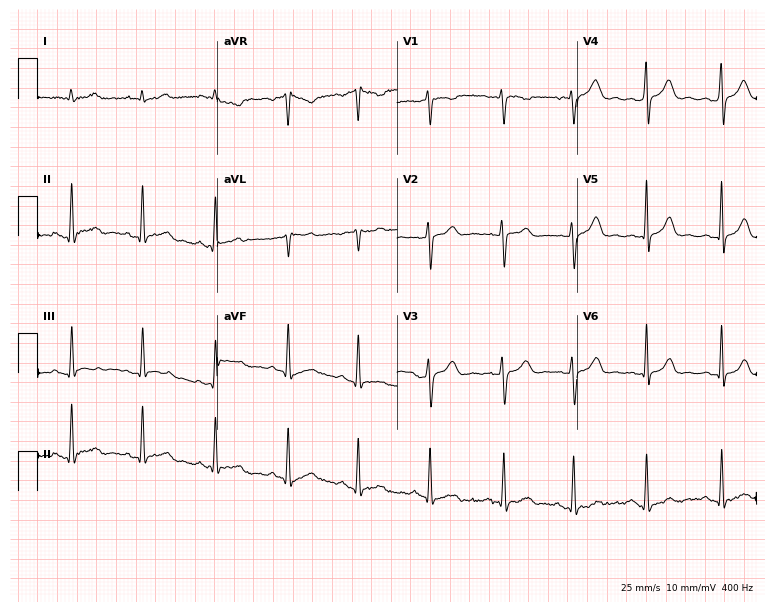
Electrocardiogram (7.3-second recording at 400 Hz), a woman, 24 years old. Of the six screened findings (first-degree AV block, right bundle branch block, left bundle branch block, sinus bradycardia, atrial fibrillation, sinus tachycardia), none is recorded.